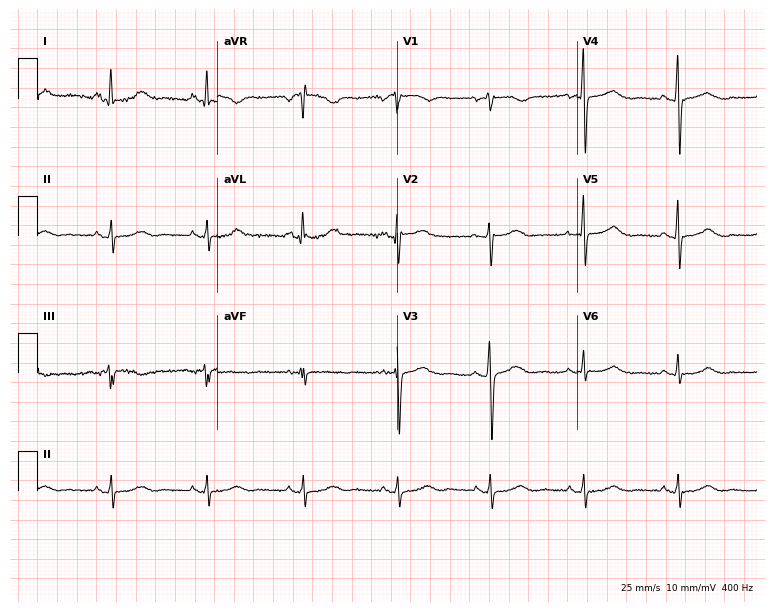
12-lead ECG (7.3-second recording at 400 Hz) from a 62-year-old woman. Screened for six findings — first-degree AV block, right bundle branch block, left bundle branch block, sinus bradycardia, atrial fibrillation, sinus tachycardia — none is recorded. Findings outside these six are not listed.